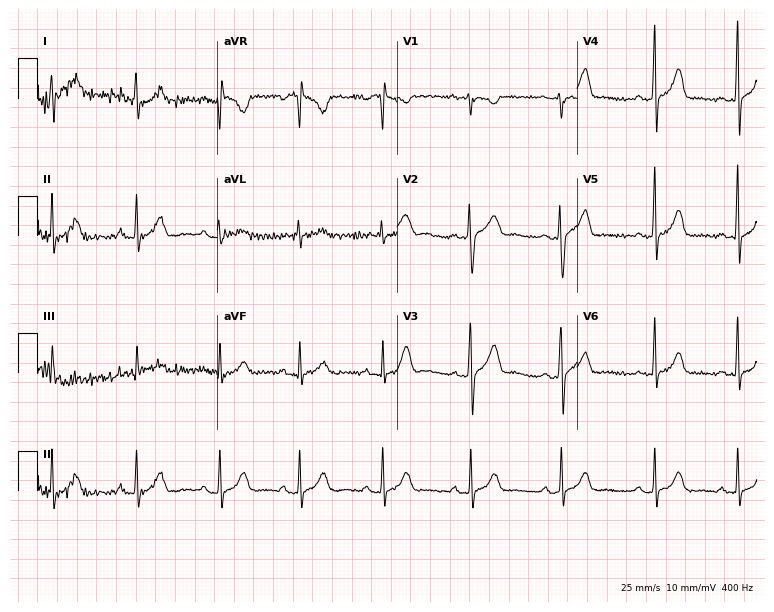
ECG — a female, 40 years old. Labelled as a normal ECG.